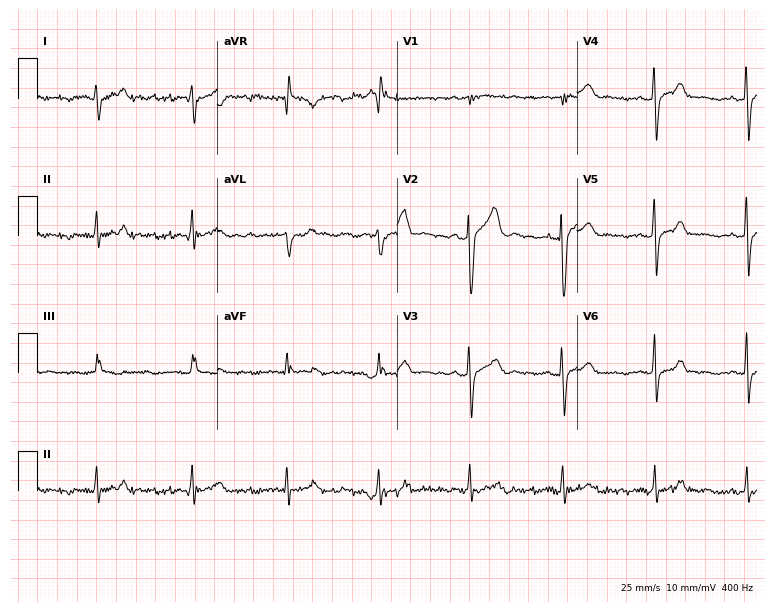
12-lead ECG from a 34-year-old man (7.3-second recording at 400 Hz). Recorded interpretation: within normal limits.